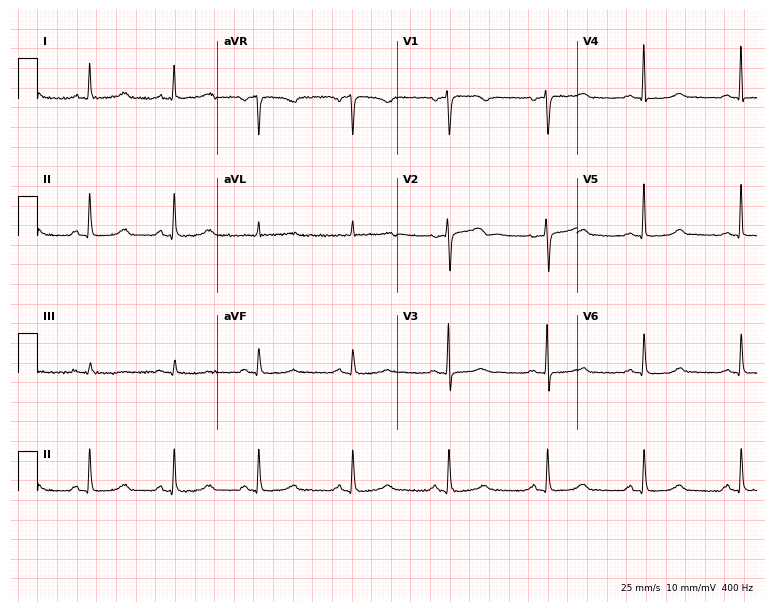
ECG — a 52-year-old woman. Labelled as a normal ECG.